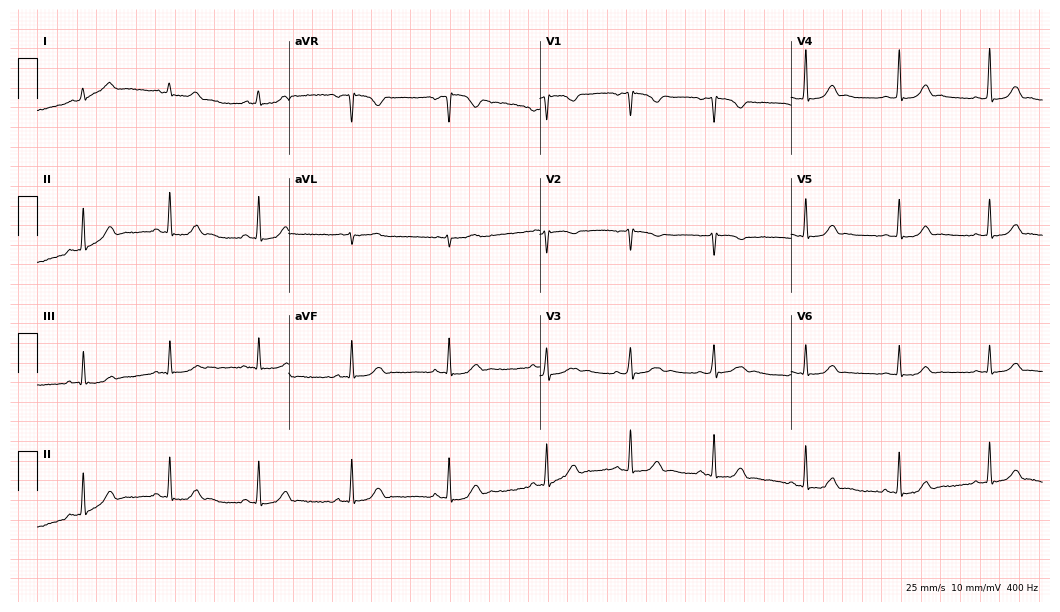
Resting 12-lead electrocardiogram. Patient: a 21-year-old female. Read as a normal ECG.